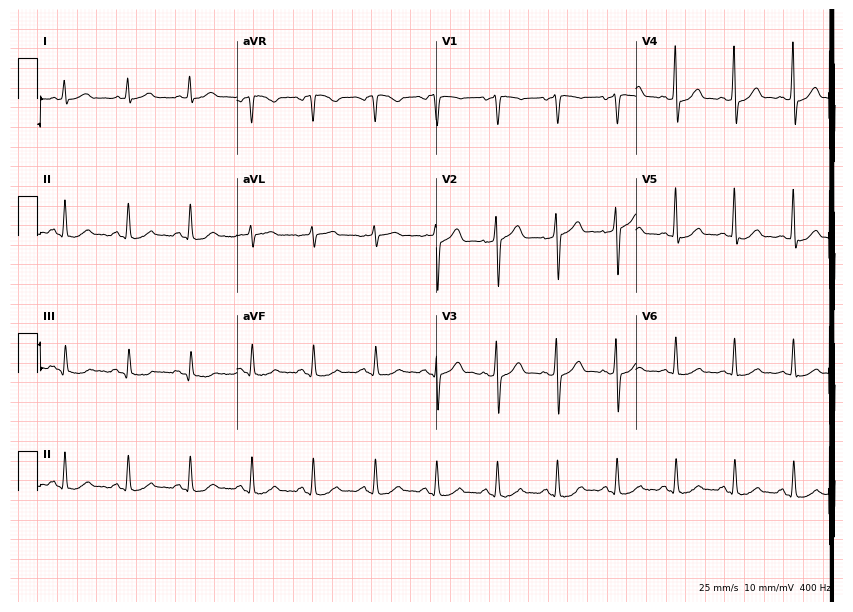
Standard 12-lead ECG recorded from a male patient, 65 years old. None of these six findings is recorded: first-degree AV block, right bundle branch block, left bundle branch block, sinus bradycardia, atrial fibrillation, sinus tachycardia.